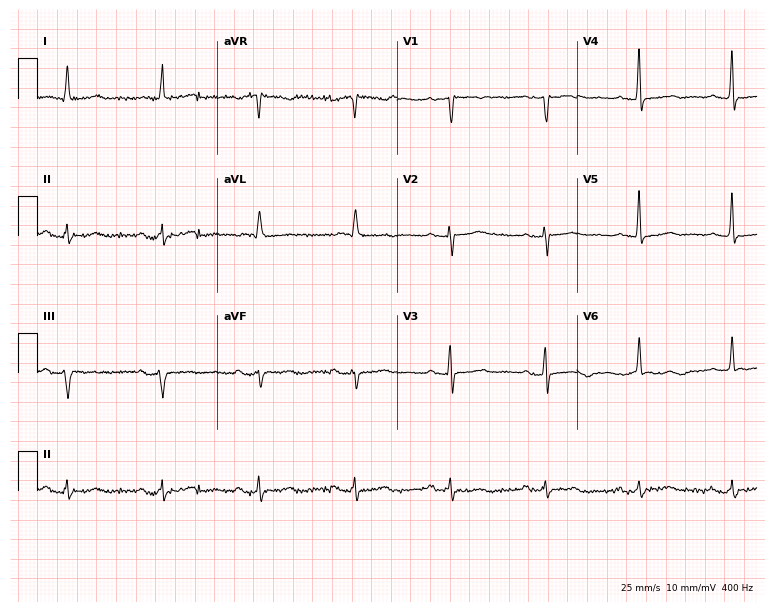
Electrocardiogram (7.3-second recording at 400 Hz), a female, 82 years old. Of the six screened findings (first-degree AV block, right bundle branch block, left bundle branch block, sinus bradycardia, atrial fibrillation, sinus tachycardia), none is recorded.